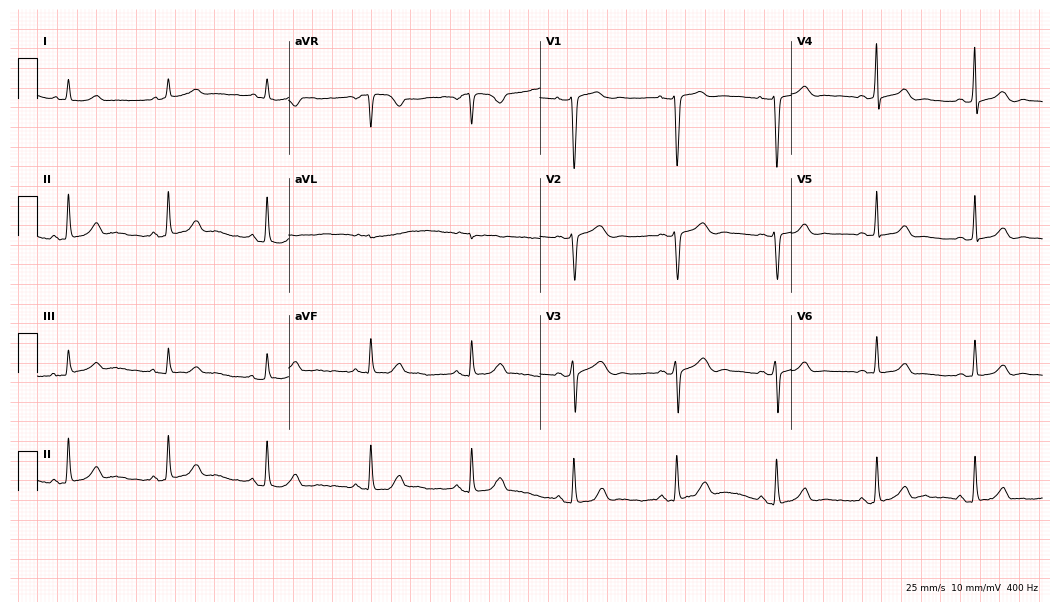
ECG — a 42-year-old woman. Labelled as a normal ECG.